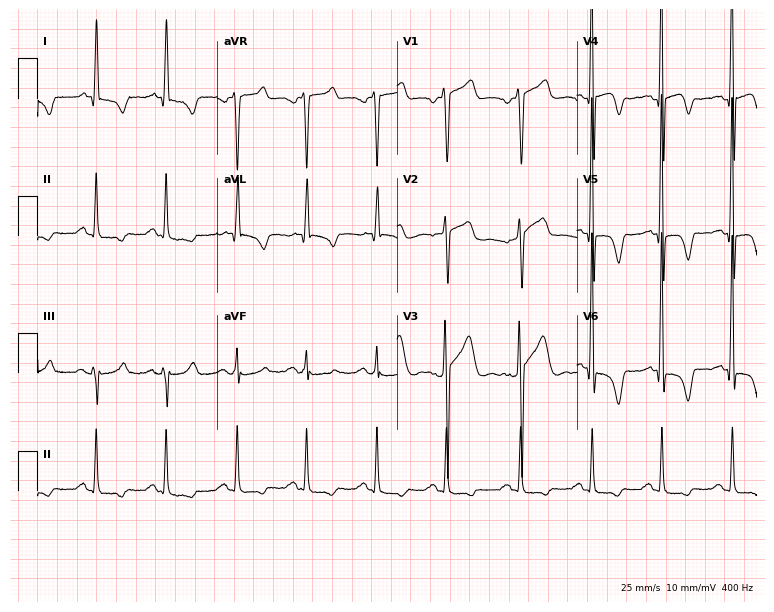
Standard 12-lead ECG recorded from a male, 59 years old (7.3-second recording at 400 Hz). None of these six findings is recorded: first-degree AV block, right bundle branch block (RBBB), left bundle branch block (LBBB), sinus bradycardia, atrial fibrillation (AF), sinus tachycardia.